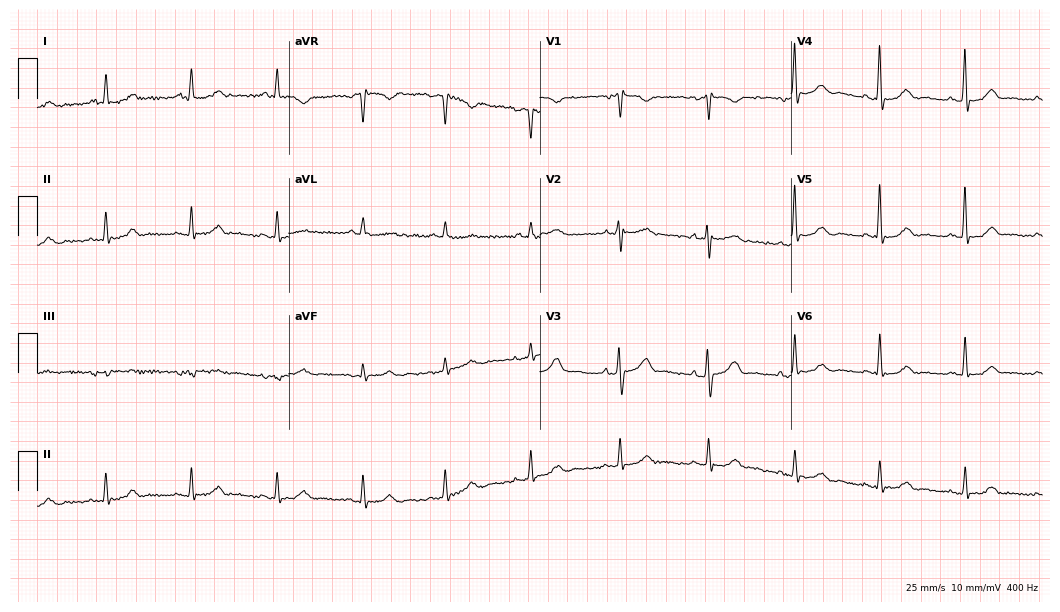
ECG — a 74-year-old female patient. Screened for six findings — first-degree AV block, right bundle branch block, left bundle branch block, sinus bradycardia, atrial fibrillation, sinus tachycardia — none is recorded. Other findings, if any, are not listed.